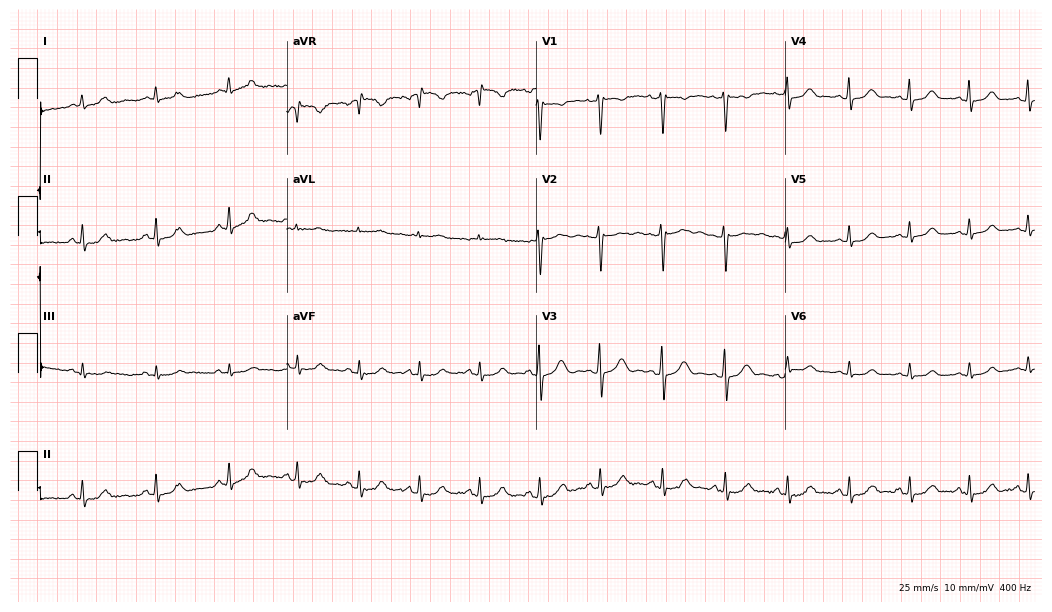
12-lead ECG from a female patient, 25 years old. Labelled as a normal ECG.